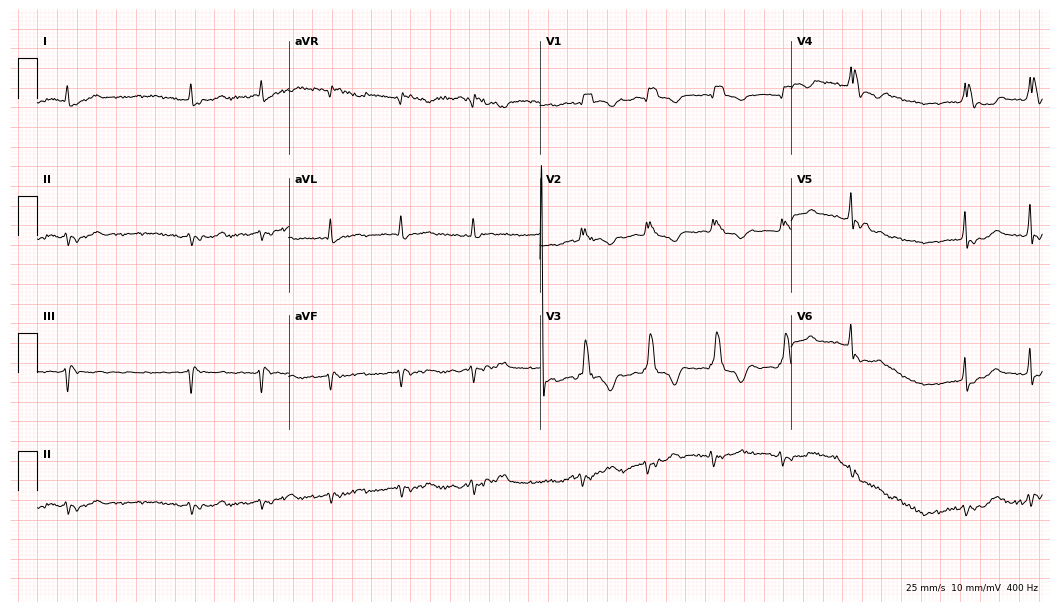
ECG (10.2-second recording at 400 Hz) — an 83-year-old male. Screened for six findings — first-degree AV block, right bundle branch block, left bundle branch block, sinus bradycardia, atrial fibrillation, sinus tachycardia — none is recorded.